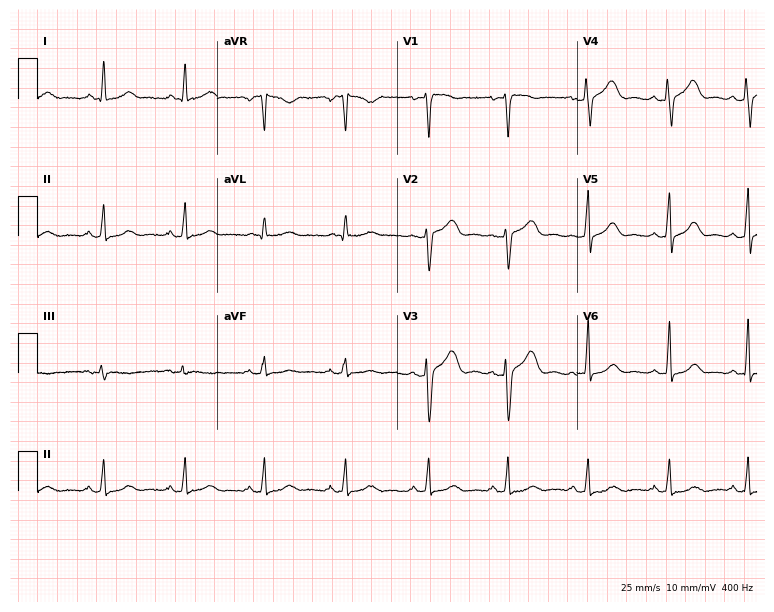
ECG — a female, 56 years old. Labelled as a normal ECG.